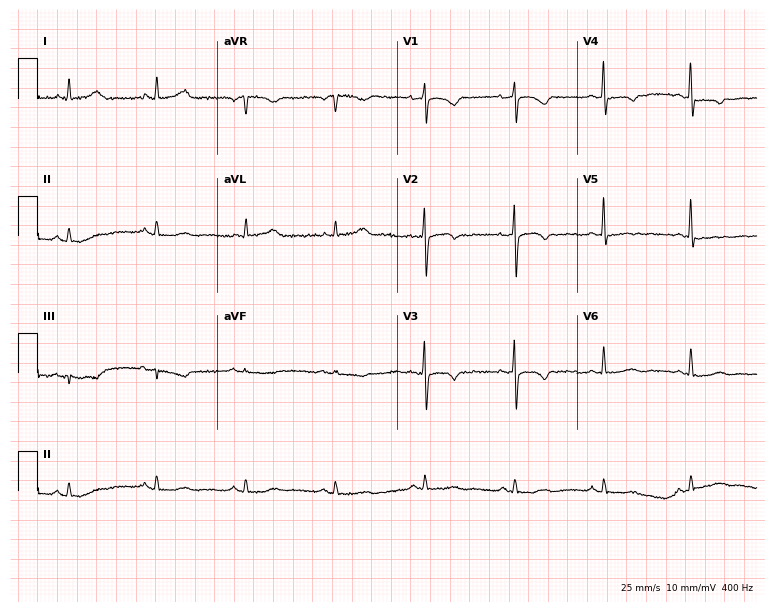
Resting 12-lead electrocardiogram. Patient: a 60-year-old female. None of these six findings is recorded: first-degree AV block, right bundle branch block, left bundle branch block, sinus bradycardia, atrial fibrillation, sinus tachycardia.